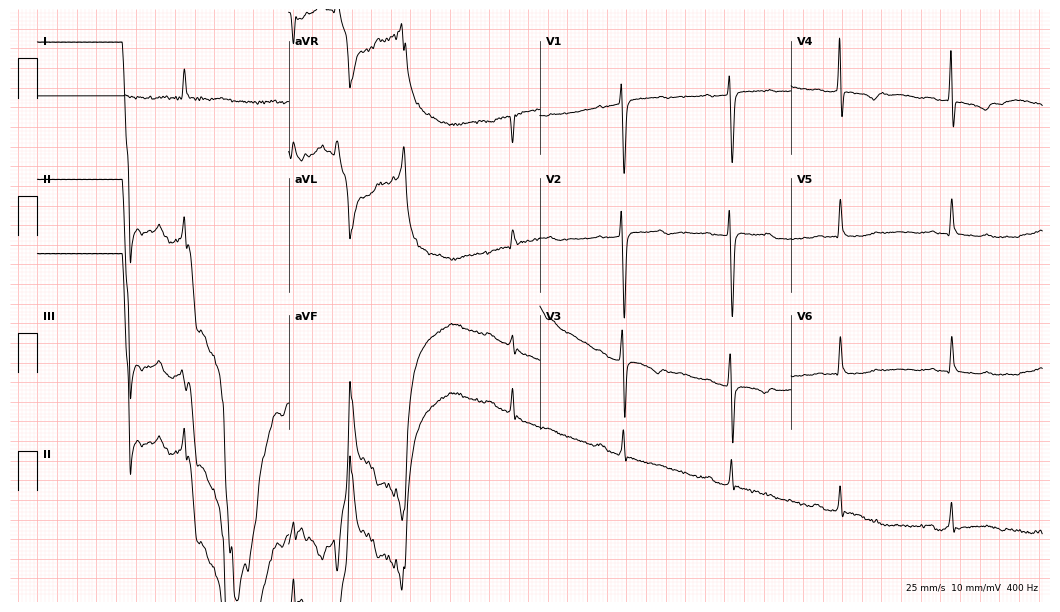
ECG (10.2-second recording at 400 Hz) — an 80-year-old woman. Findings include first-degree AV block.